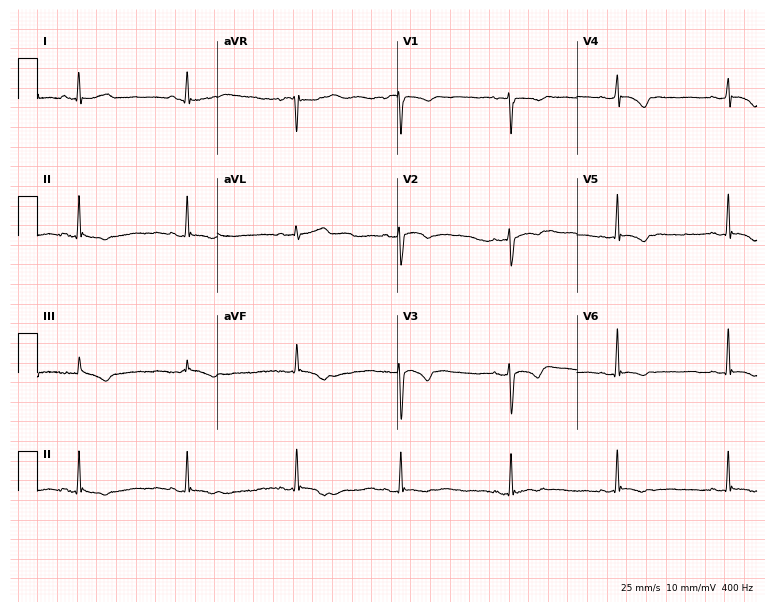
ECG (7.3-second recording at 400 Hz) — a woman, 22 years old. Screened for six findings — first-degree AV block, right bundle branch block, left bundle branch block, sinus bradycardia, atrial fibrillation, sinus tachycardia — none is recorded.